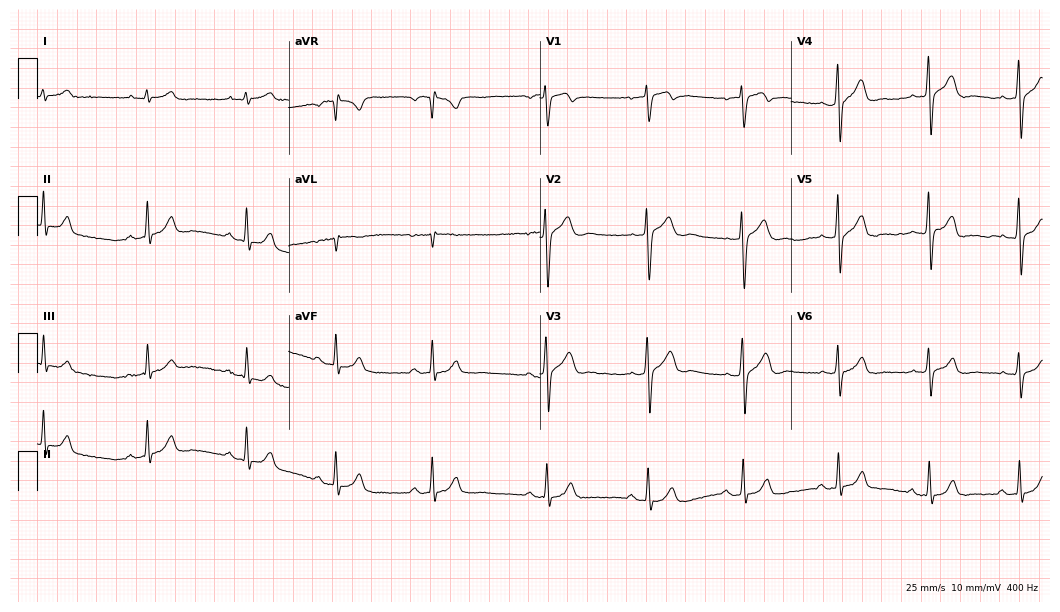
Resting 12-lead electrocardiogram. Patient: a 28-year-old male. Read as a normal ECG.